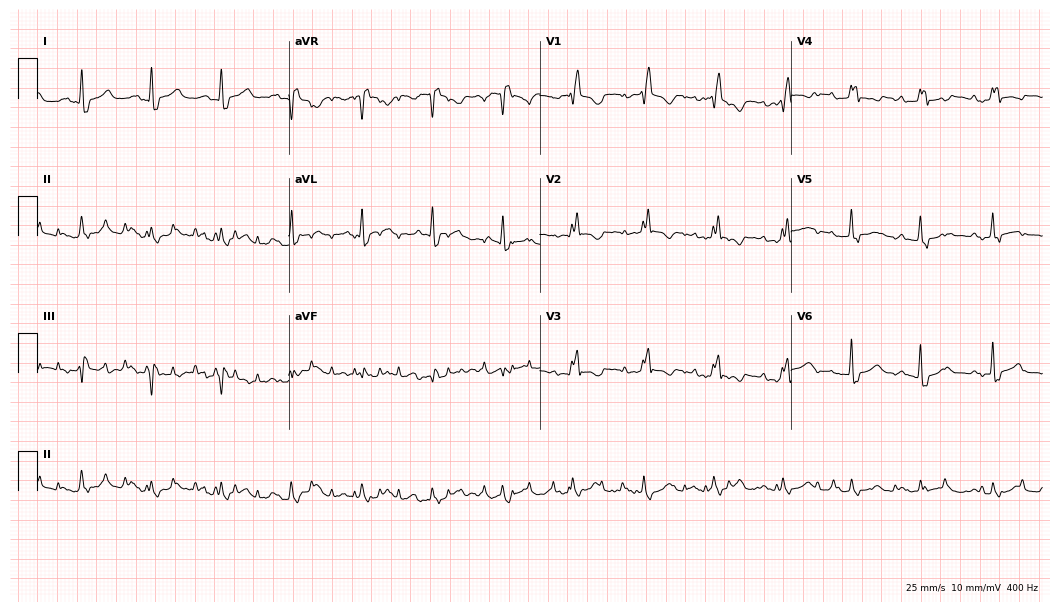
Standard 12-lead ECG recorded from an 84-year-old female patient. The tracing shows right bundle branch block.